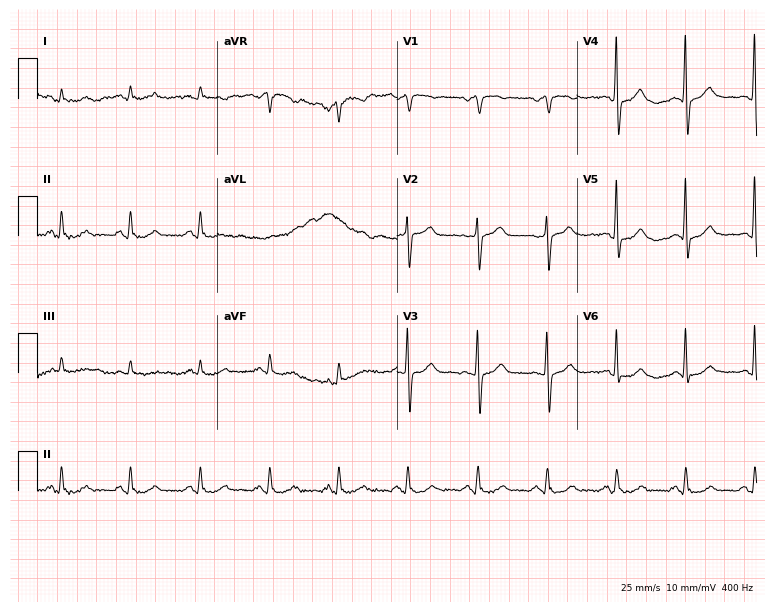
ECG (7.3-second recording at 400 Hz) — a 58-year-old male. Labelled as a normal ECG.